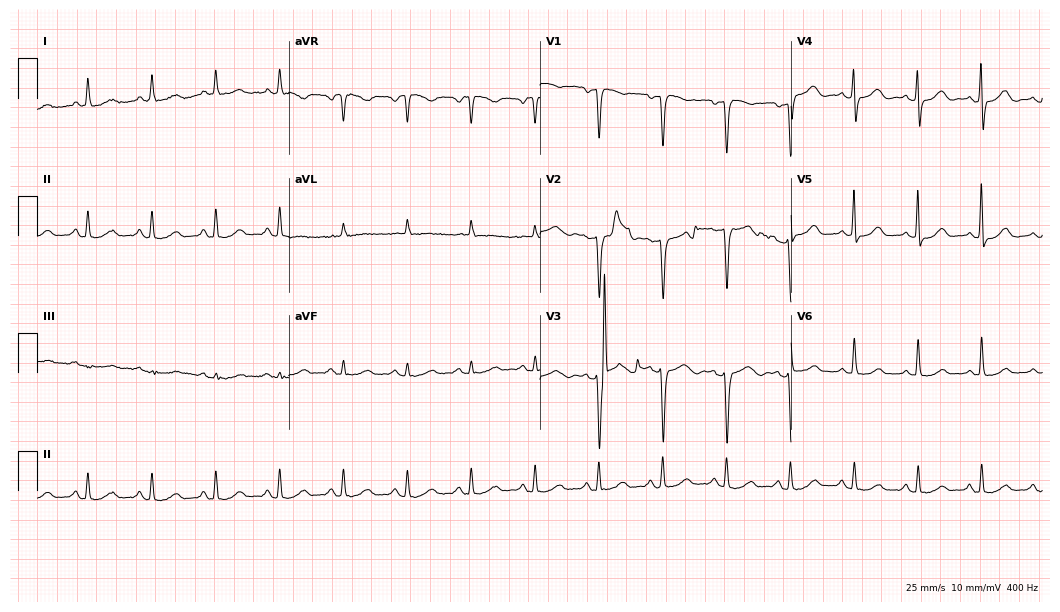
Electrocardiogram (10.2-second recording at 400 Hz), a 51-year-old female. Overall reading on record: normal ECG.